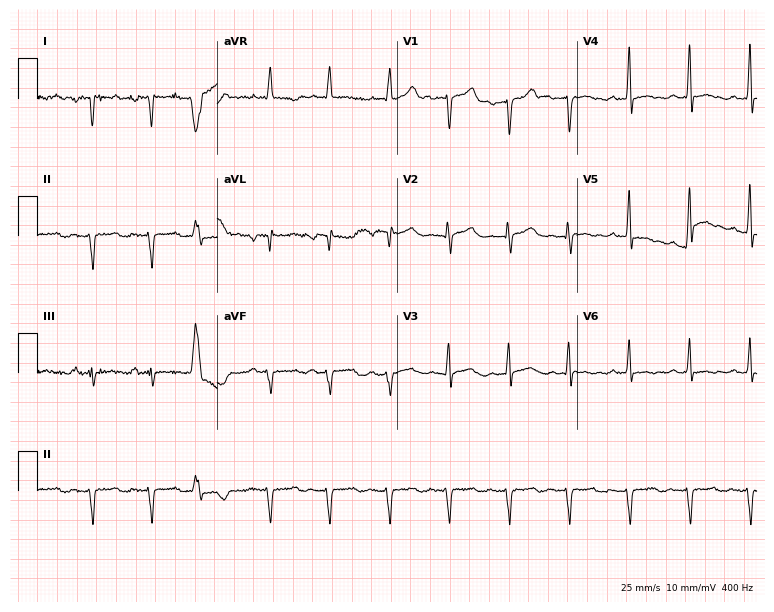
Standard 12-lead ECG recorded from a 72-year-old man (7.3-second recording at 400 Hz). None of these six findings is recorded: first-degree AV block, right bundle branch block (RBBB), left bundle branch block (LBBB), sinus bradycardia, atrial fibrillation (AF), sinus tachycardia.